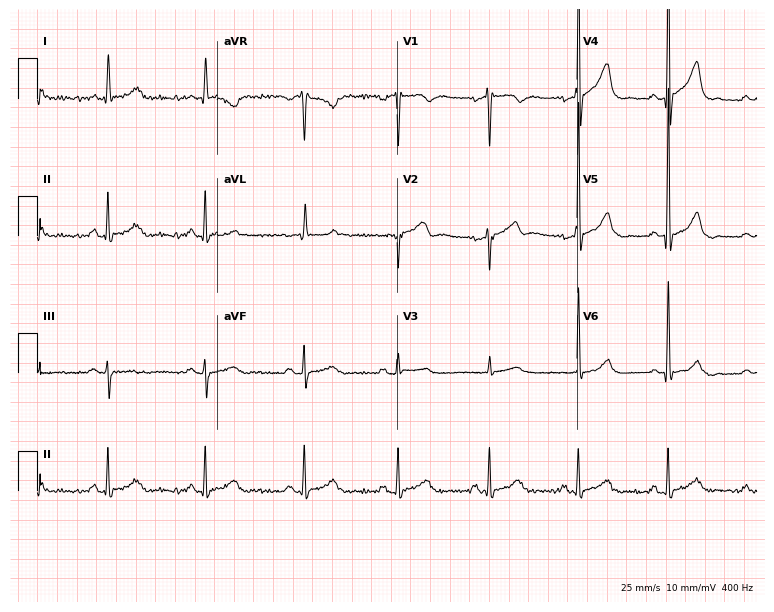
12-lead ECG from a male, 79 years old (7.3-second recording at 400 Hz). Recorded interpretation: within normal limits.